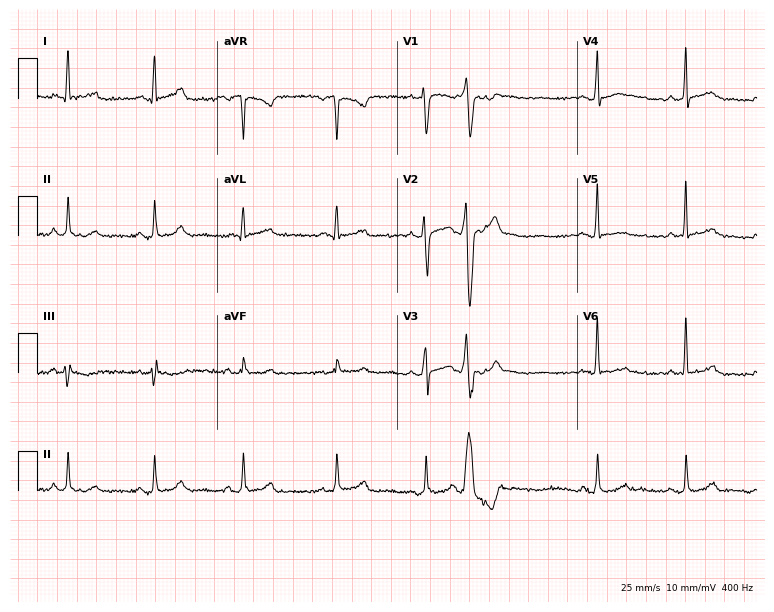
Standard 12-lead ECG recorded from a male patient, 32 years old. None of these six findings is recorded: first-degree AV block, right bundle branch block, left bundle branch block, sinus bradycardia, atrial fibrillation, sinus tachycardia. Findings outside these six are not listed.